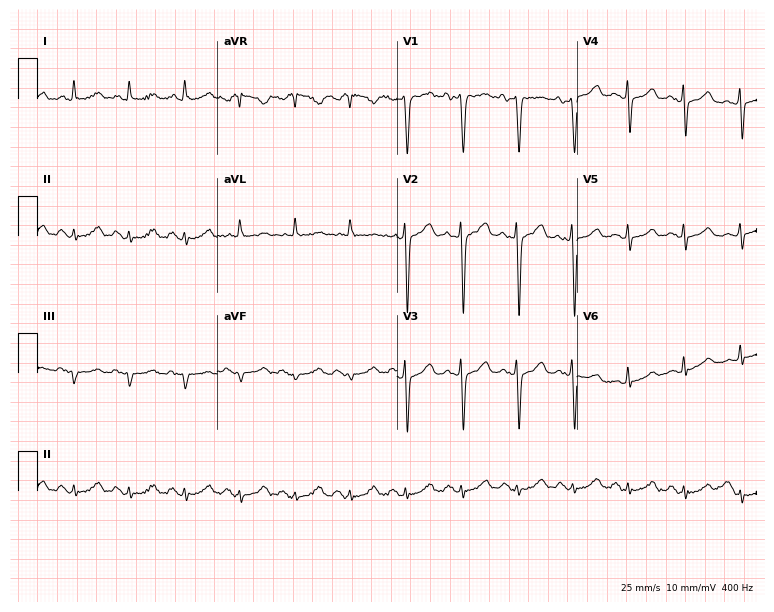
ECG (7.3-second recording at 400 Hz) — a woman, 50 years old. Findings include sinus tachycardia (a sinus rate of 100 beats per minute or more).